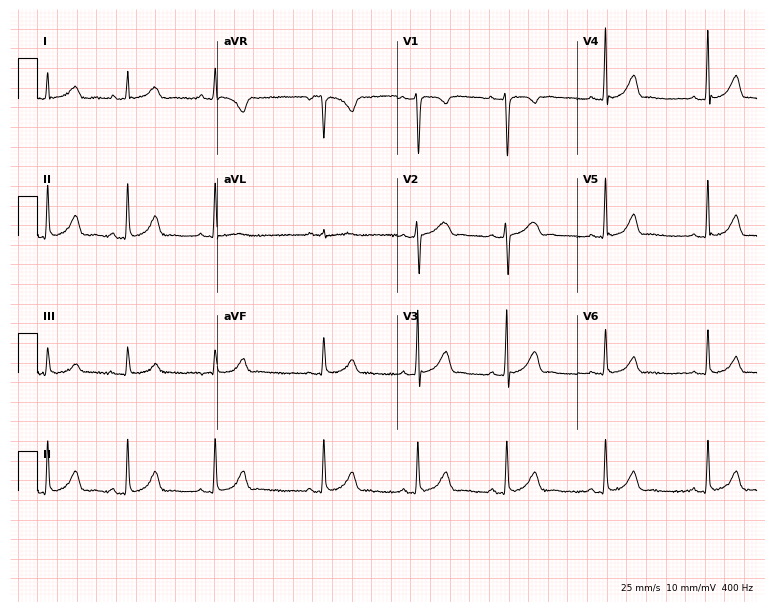
12-lead ECG (7.3-second recording at 400 Hz) from a woman, 21 years old. Labelled as a normal ECG.